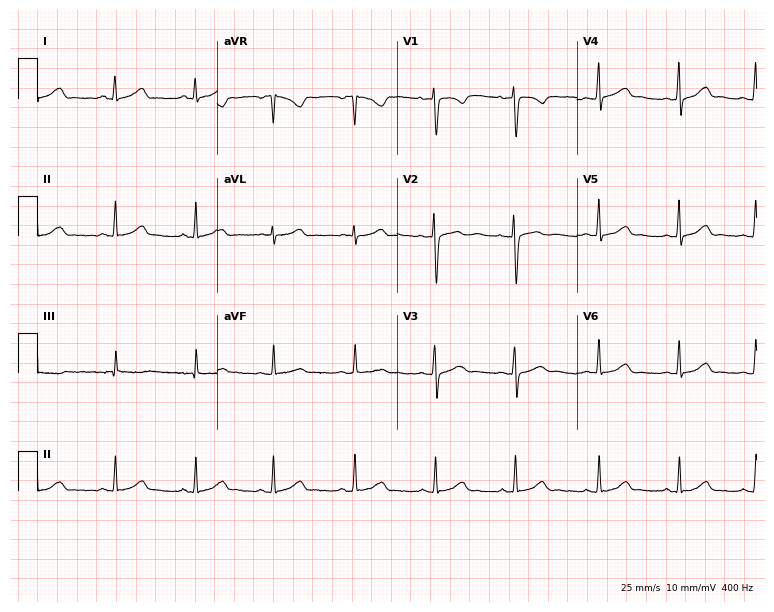
12-lead ECG from a 32-year-old woman. Labelled as a normal ECG.